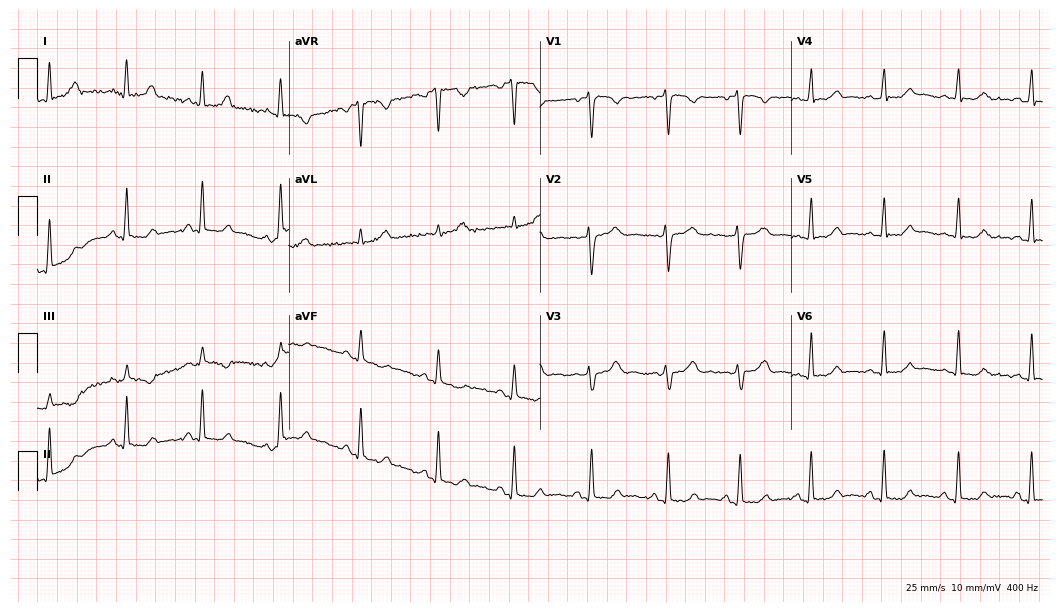
Standard 12-lead ECG recorded from a 28-year-old female (10.2-second recording at 400 Hz). Read as a normal ECG.